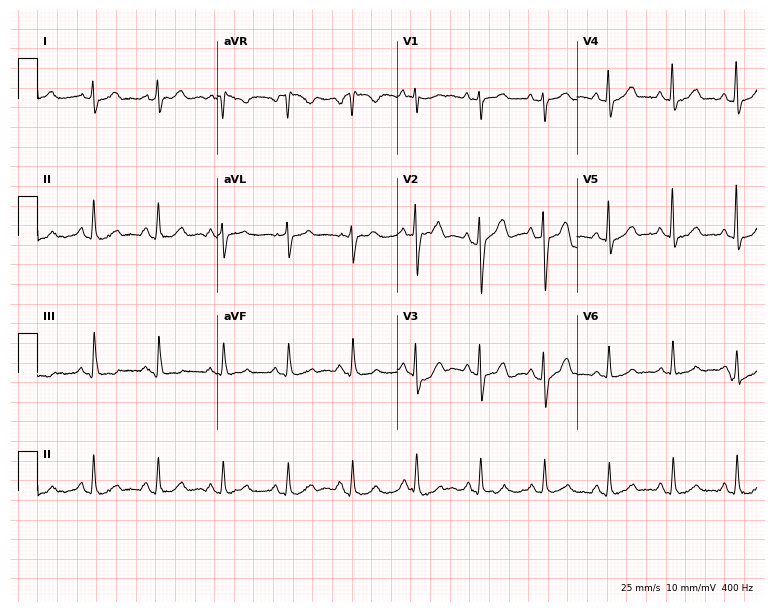
Electrocardiogram, a 75-year-old female. Overall reading on record: normal ECG.